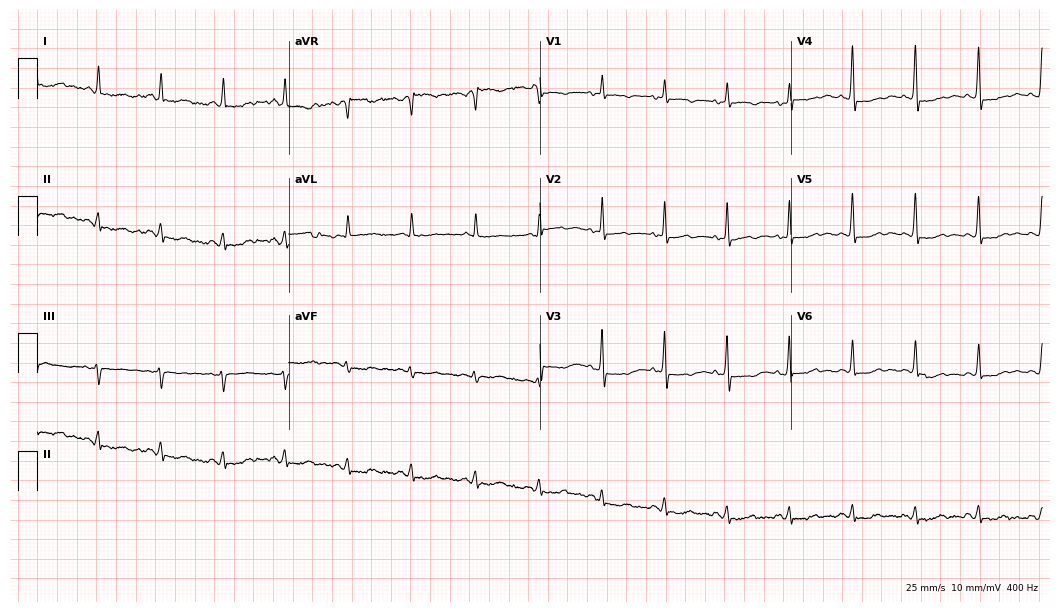
Resting 12-lead electrocardiogram (10.2-second recording at 400 Hz). Patient: an 82-year-old female. None of these six findings is recorded: first-degree AV block, right bundle branch block, left bundle branch block, sinus bradycardia, atrial fibrillation, sinus tachycardia.